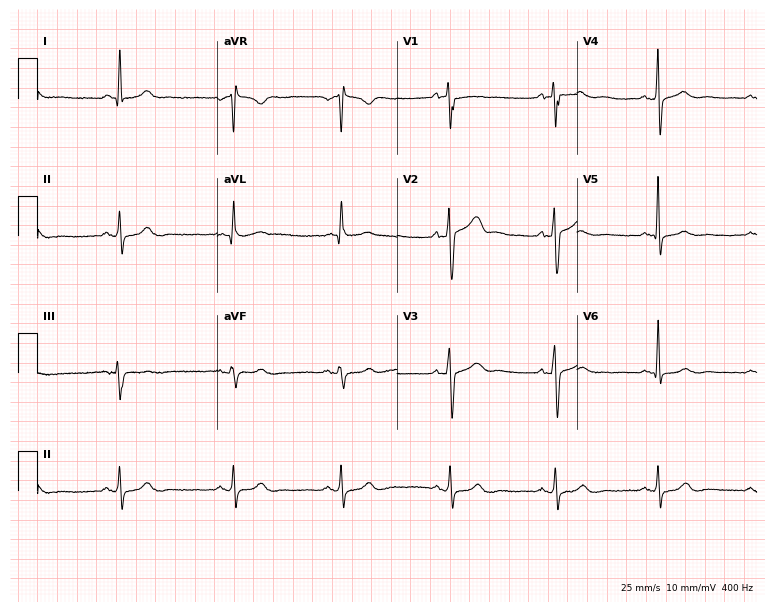
Standard 12-lead ECG recorded from a male, 54 years old (7.3-second recording at 400 Hz). None of these six findings is recorded: first-degree AV block, right bundle branch block (RBBB), left bundle branch block (LBBB), sinus bradycardia, atrial fibrillation (AF), sinus tachycardia.